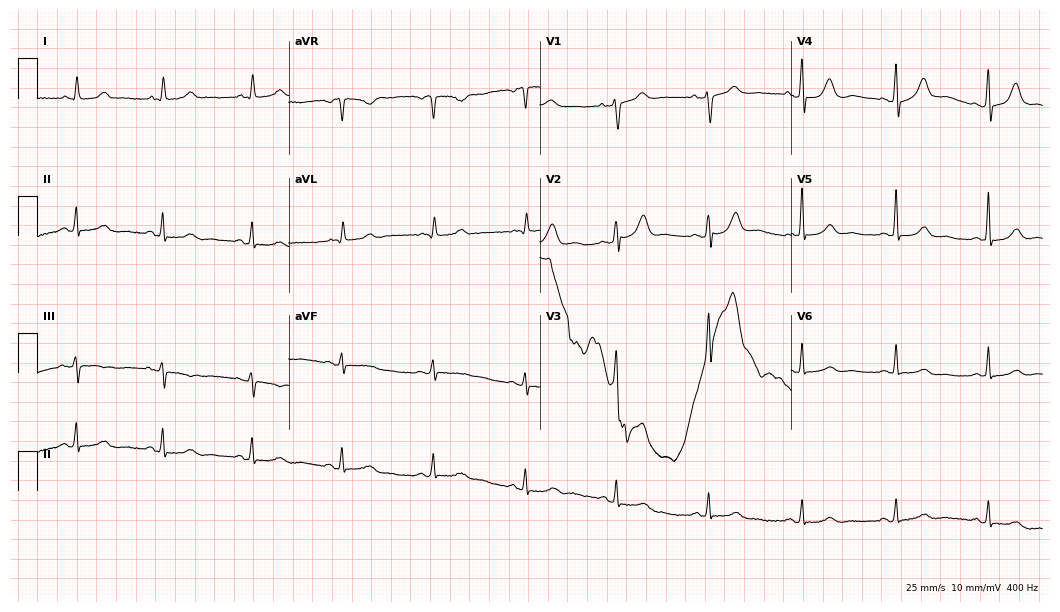
Standard 12-lead ECG recorded from a female patient, 77 years old (10.2-second recording at 400 Hz). Read as a normal ECG.